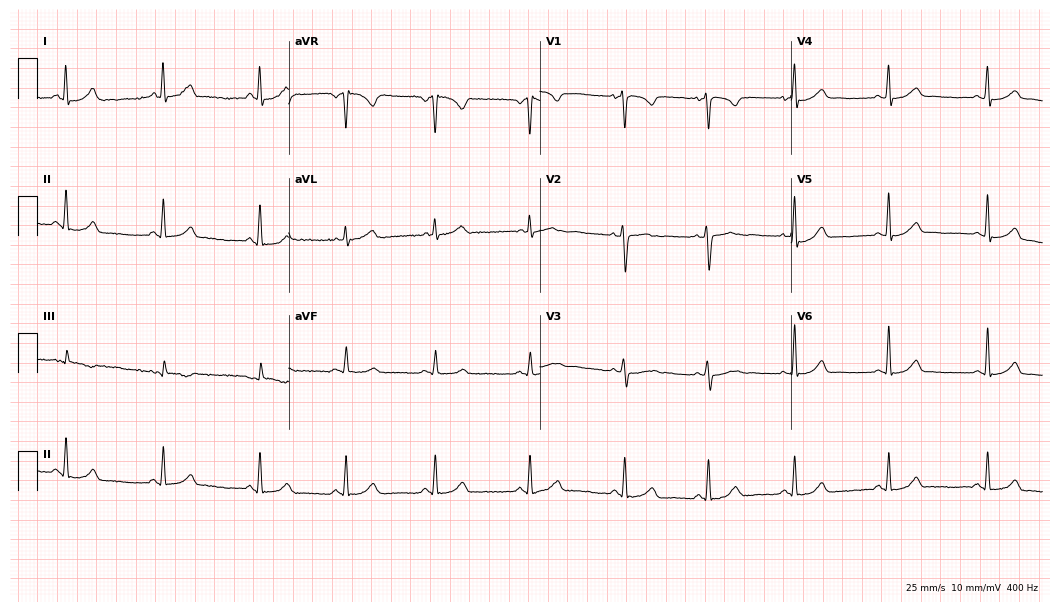
Standard 12-lead ECG recorded from a female patient, 29 years old (10.2-second recording at 400 Hz). Read as a normal ECG.